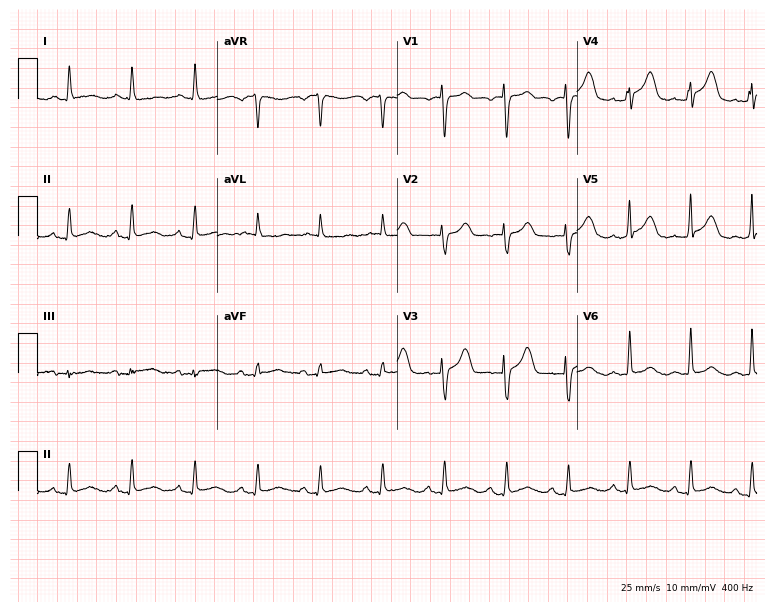
12-lead ECG (7.3-second recording at 400 Hz) from a woman, 72 years old. Screened for six findings — first-degree AV block, right bundle branch block, left bundle branch block, sinus bradycardia, atrial fibrillation, sinus tachycardia — none is recorded. Findings outside these six are not listed.